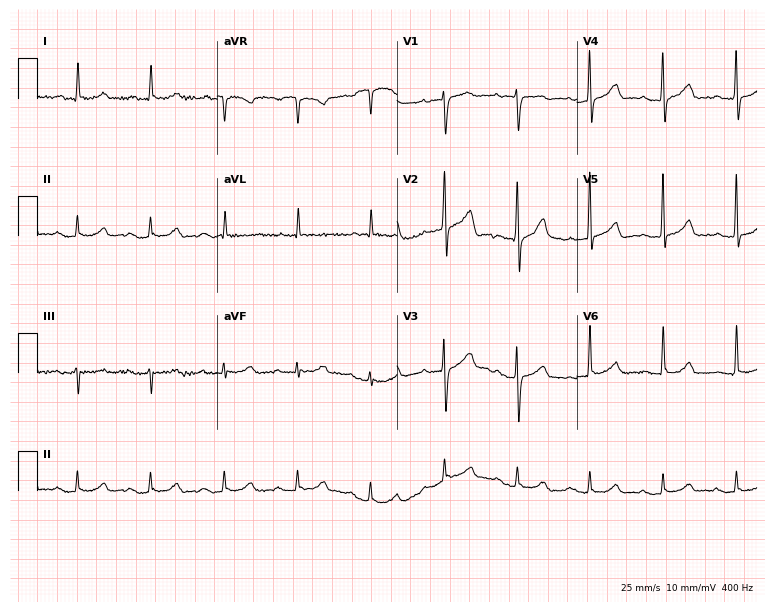
Resting 12-lead electrocardiogram. Patient: a male, 78 years old. Read as a normal ECG.